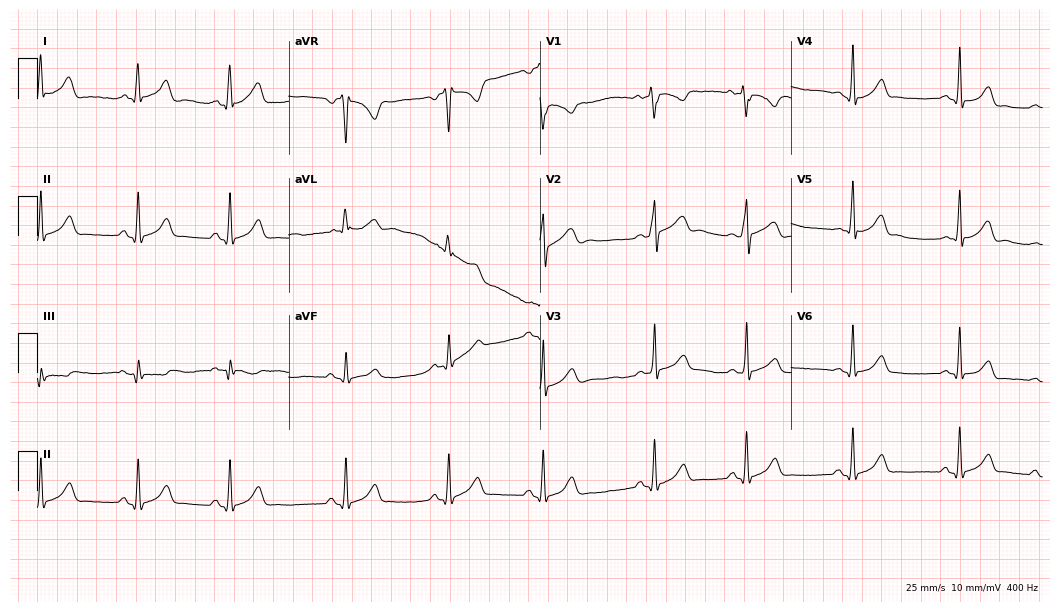
Resting 12-lead electrocardiogram (10.2-second recording at 400 Hz). Patient: a woman, 30 years old. None of these six findings is recorded: first-degree AV block, right bundle branch block, left bundle branch block, sinus bradycardia, atrial fibrillation, sinus tachycardia.